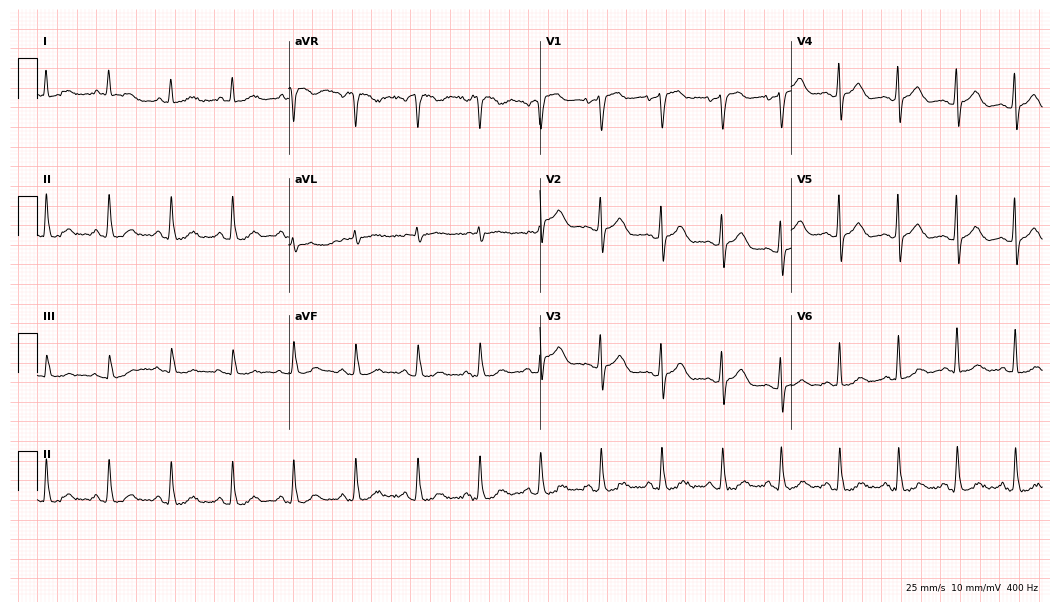
12-lead ECG (10.2-second recording at 400 Hz) from a 70-year-old female patient. Screened for six findings — first-degree AV block, right bundle branch block, left bundle branch block, sinus bradycardia, atrial fibrillation, sinus tachycardia — none is recorded.